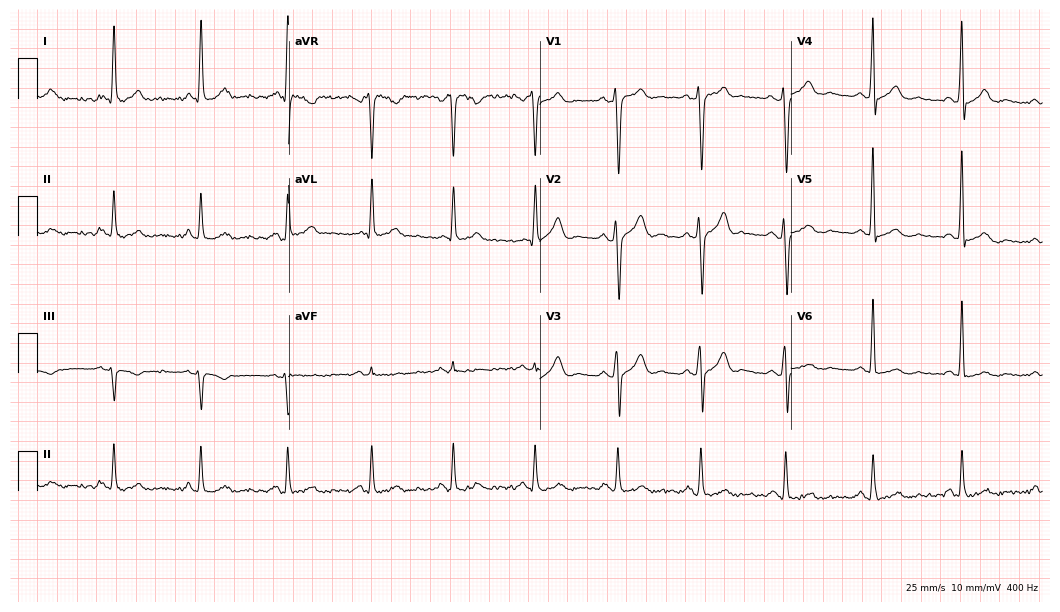
12-lead ECG (10.2-second recording at 400 Hz) from a male, 55 years old. Labelled as a normal ECG.